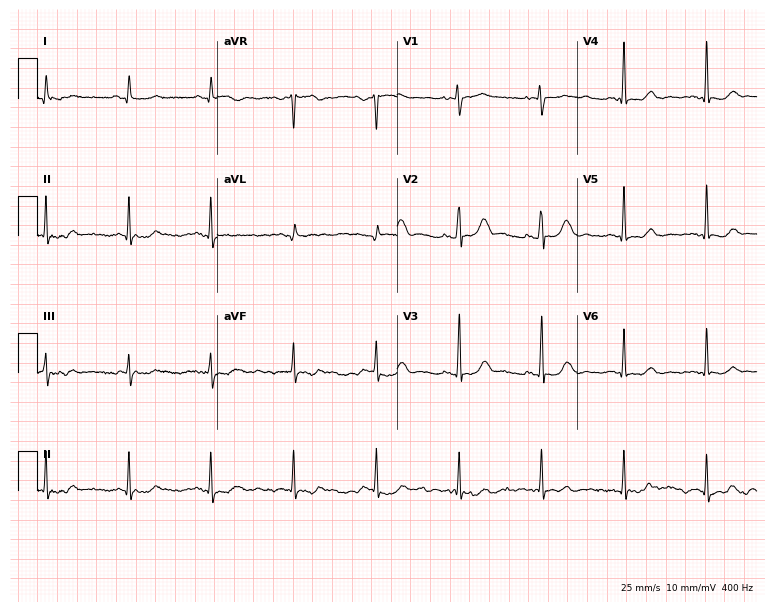
Resting 12-lead electrocardiogram. Patient: a female, 66 years old. Read as a normal ECG.